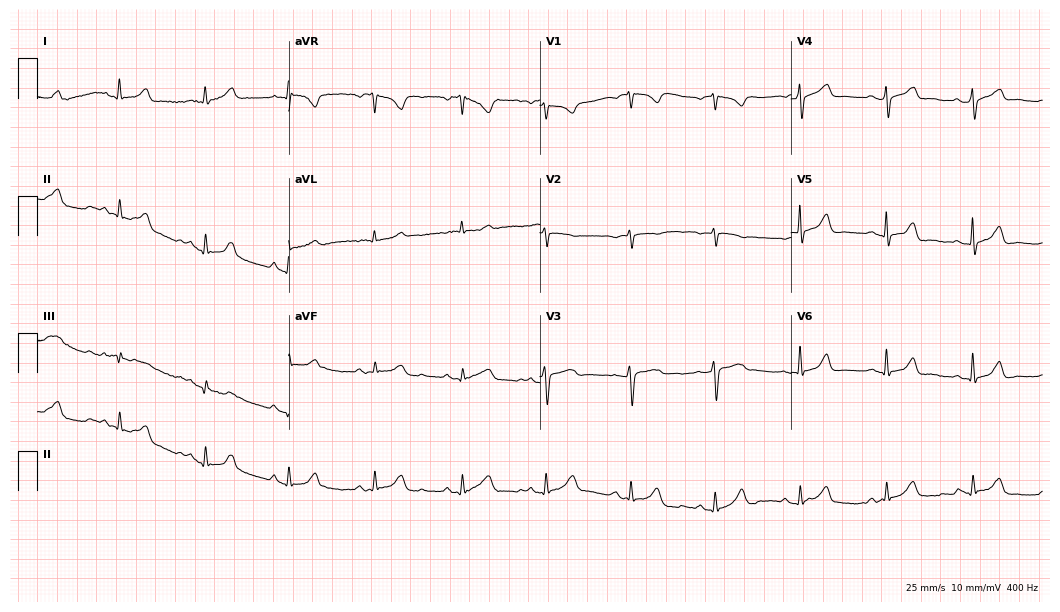
Electrocardiogram, a 64-year-old female. Overall reading on record: normal ECG.